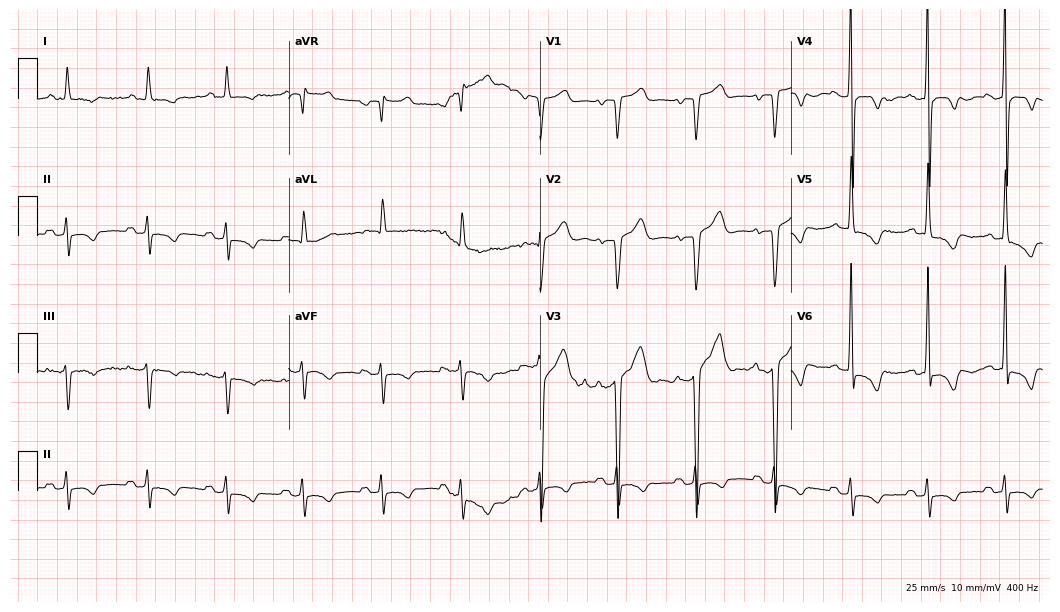
12-lead ECG from a 57-year-old male patient. No first-degree AV block, right bundle branch block, left bundle branch block, sinus bradycardia, atrial fibrillation or sinus tachycardia recorded for this tracing.